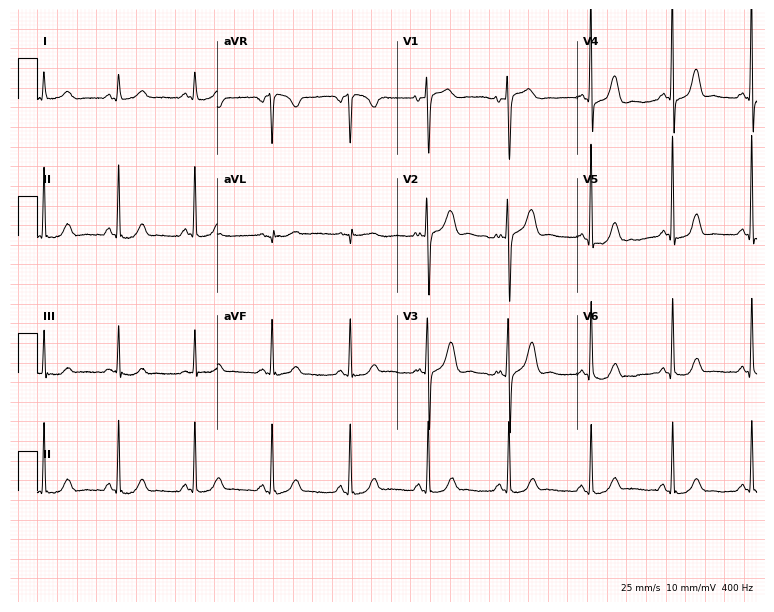
ECG — a 52-year-old female patient. Labelled as a normal ECG.